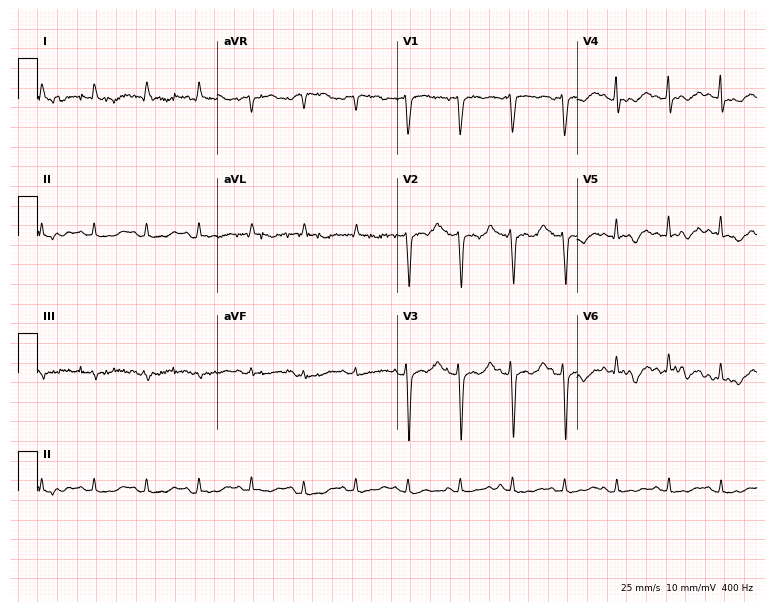
12-lead ECG from a man, 55 years old (7.3-second recording at 400 Hz). Shows sinus tachycardia (a sinus rate of 100 beats per minute or more).